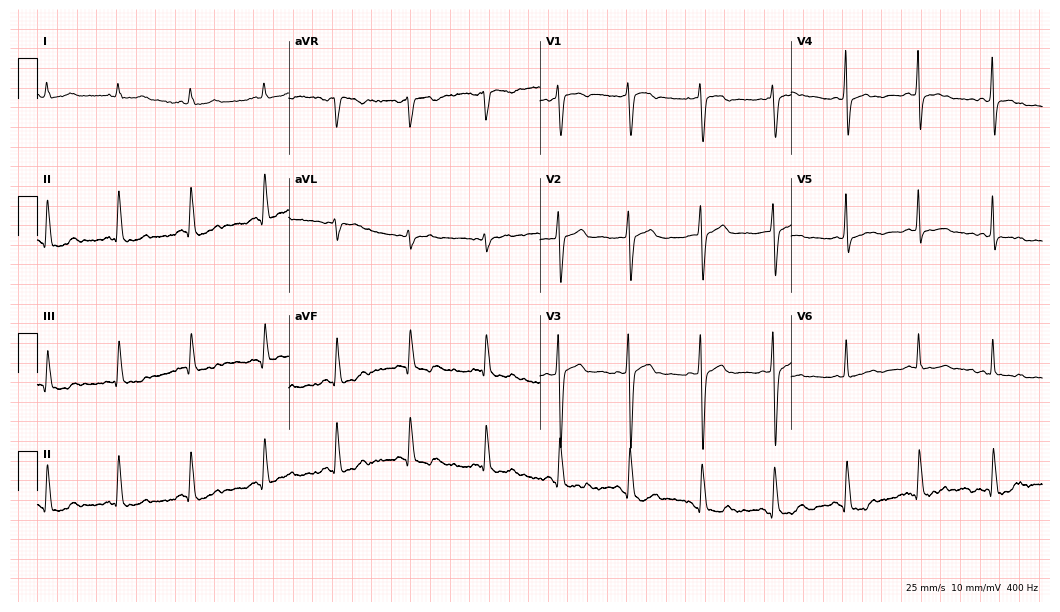
ECG (10.2-second recording at 400 Hz) — a 49-year-old female. Screened for six findings — first-degree AV block, right bundle branch block (RBBB), left bundle branch block (LBBB), sinus bradycardia, atrial fibrillation (AF), sinus tachycardia — none is recorded. Only these six findings were labelled.